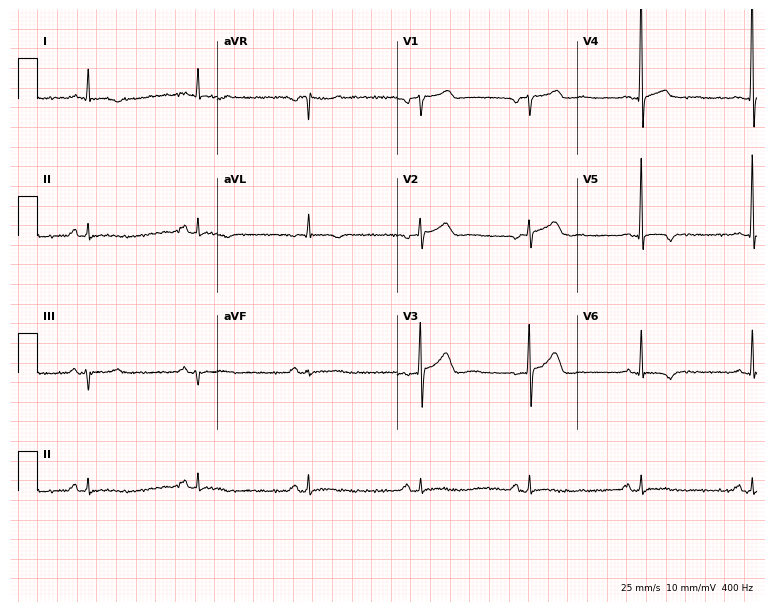
Electrocardiogram (7.3-second recording at 400 Hz), a 76-year-old man. Of the six screened findings (first-degree AV block, right bundle branch block (RBBB), left bundle branch block (LBBB), sinus bradycardia, atrial fibrillation (AF), sinus tachycardia), none is recorded.